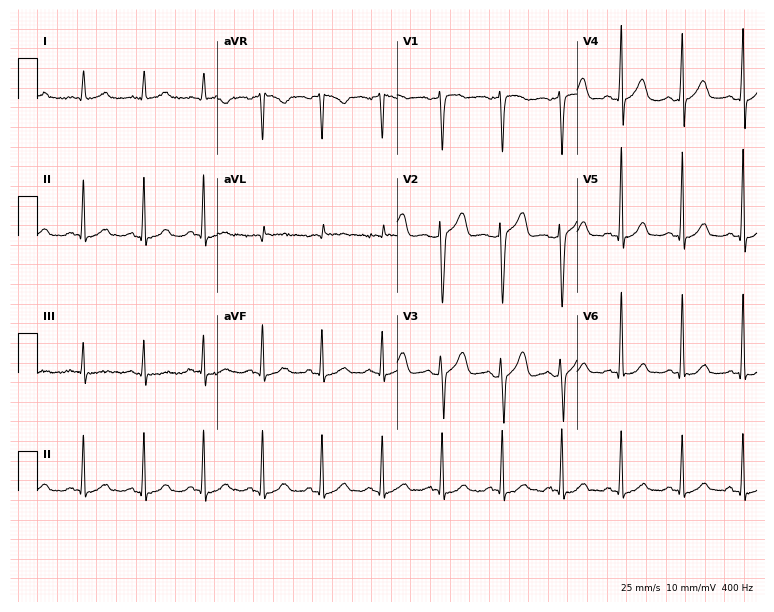
Resting 12-lead electrocardiogram (7.3-second recording at 400 Hz). Patient: a 69-year-old male. Read as a normal ECG.